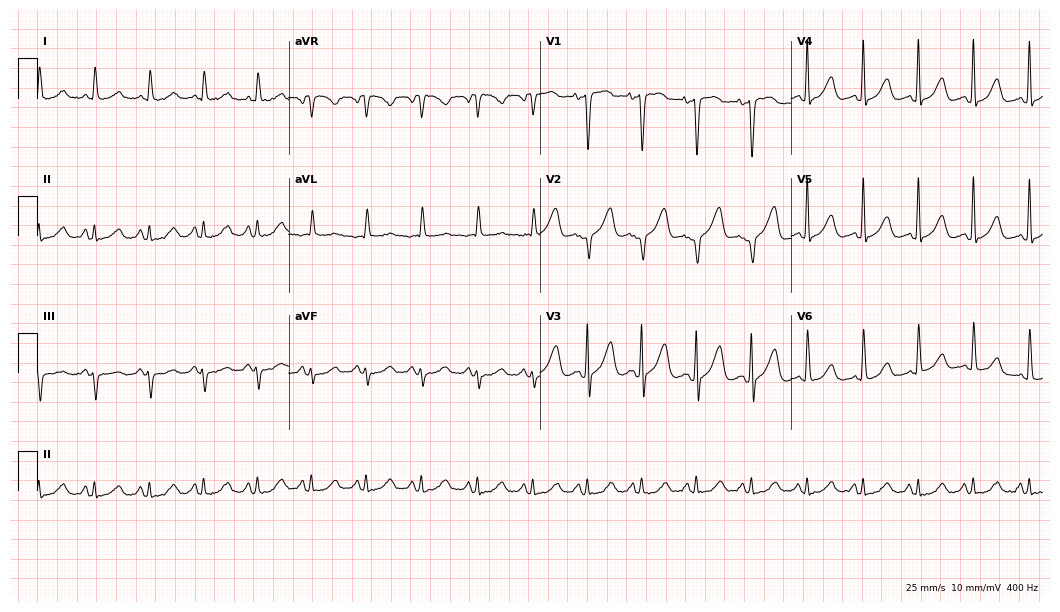
ECG — a female, 73 years old. Findings include sinus tachycardia (a sinus rate of 100 beats per minute or more).